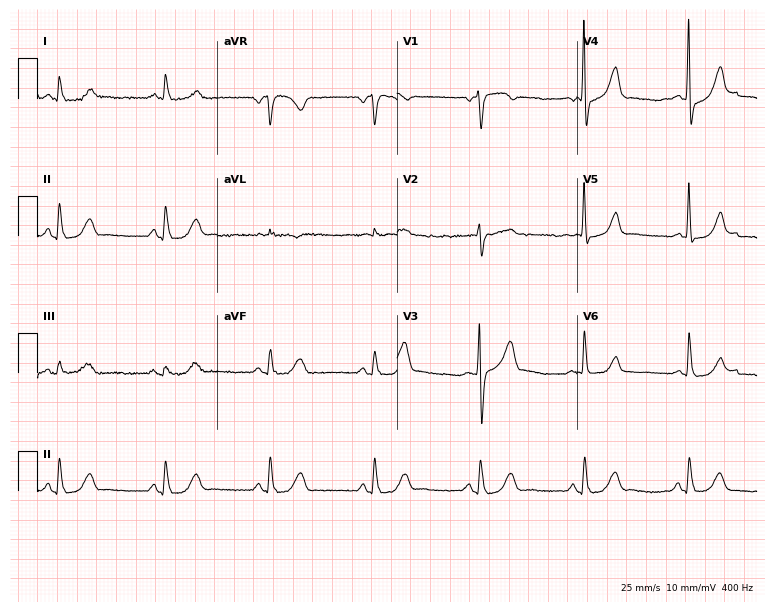
Resting 12-lead electrocardiogram (7.3-second recording at 400 Hz). Patient: a 69-year-old male. Read as a normal ECG.